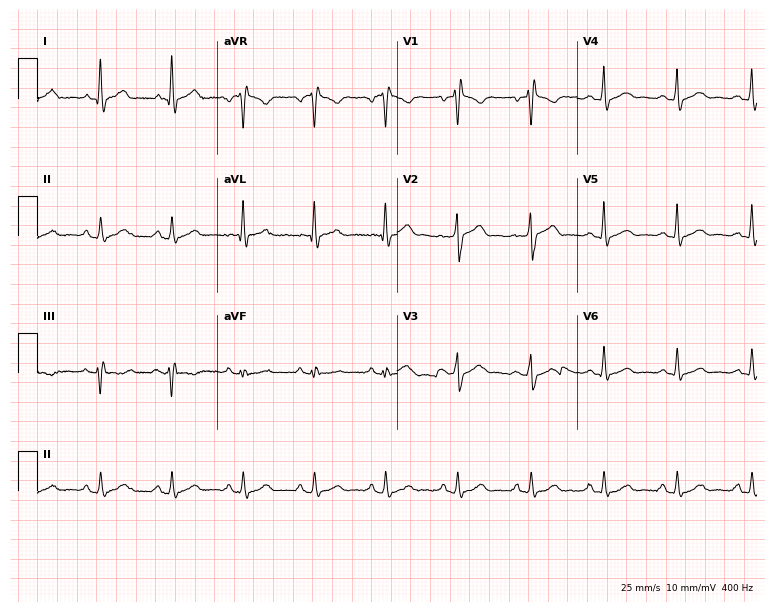
Standard 12-lead ECG recorded from a male, 41 years old (7.3-second recording at 400 Hz). None of these six findings is recorded: first-degree AV block, right bundle branch block (RBBB), left bundle branch block (LBBB), sinus bradycardia, atrial fibrillation (AF), sinus tachycardia.